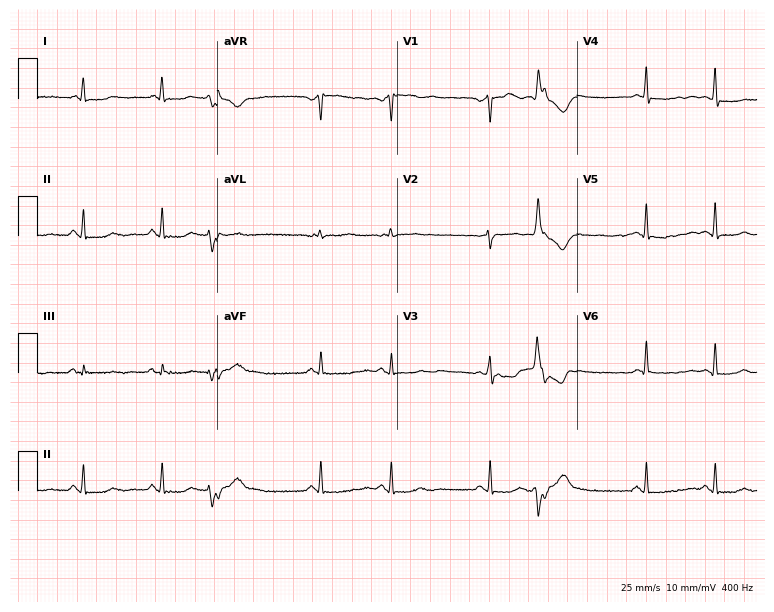
Electrocardiogram, a 41-year-old female patient. Of the six screened findings (first-degree AV block, right bundle branch block (RBBB), left bundle branch block (LBBB), sinus bradycardia, atrial fibrillation (AF), sinus tachycardia), none is recorded. Other findings, if any, are not listed.